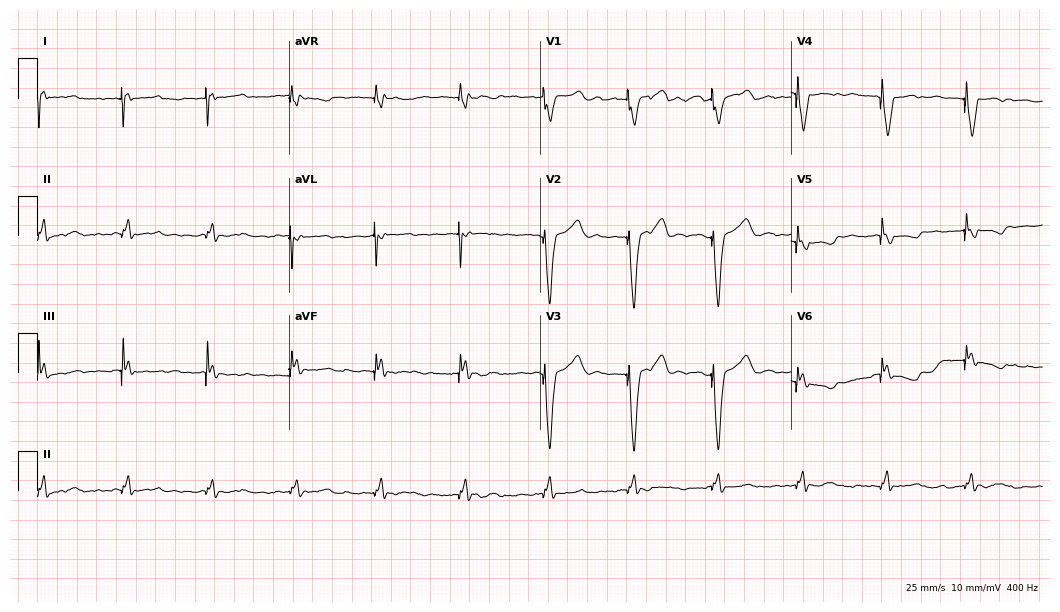
12-lead ECG from a woman, 63 years old. Screened for six findings — first-degree AV block, right bundle branch block, left bundle branch block, sinus bradycardia, atrial fibrillation, sinus tachycardia — none is recorded. Only these six findings were labelled.